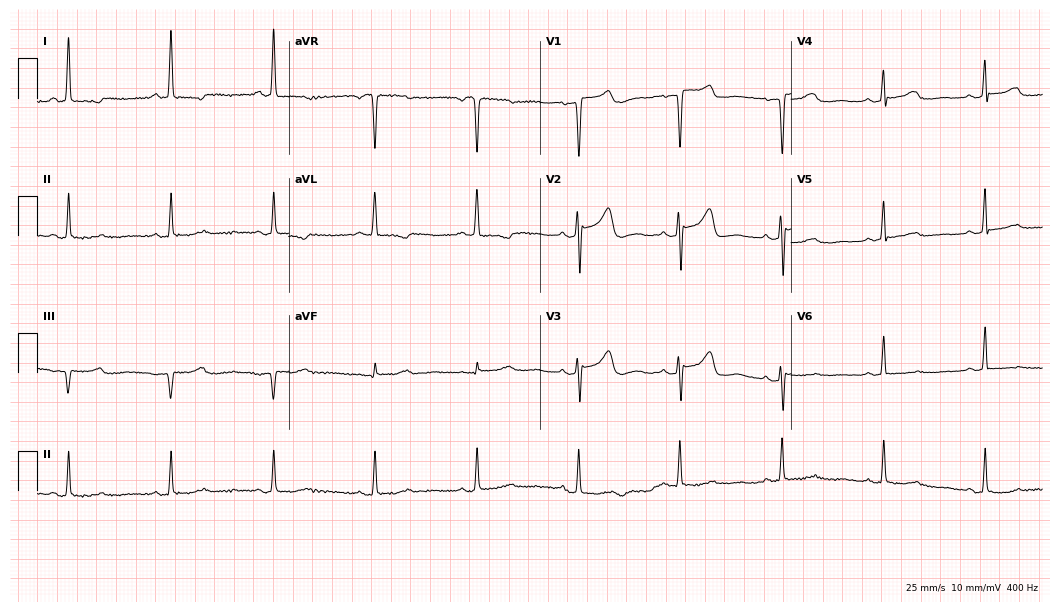
Standard 12-lead ECG recorded from a 62-year-old female patient (10.2-second recording at 400 Hz). None of these six findings is recorded: first-degree AV block, right bundle branch block, left bundle branch block, sinus bradycardia, atrial fibrillation, sinus tachycardia. Other findings, if any, are not listed.